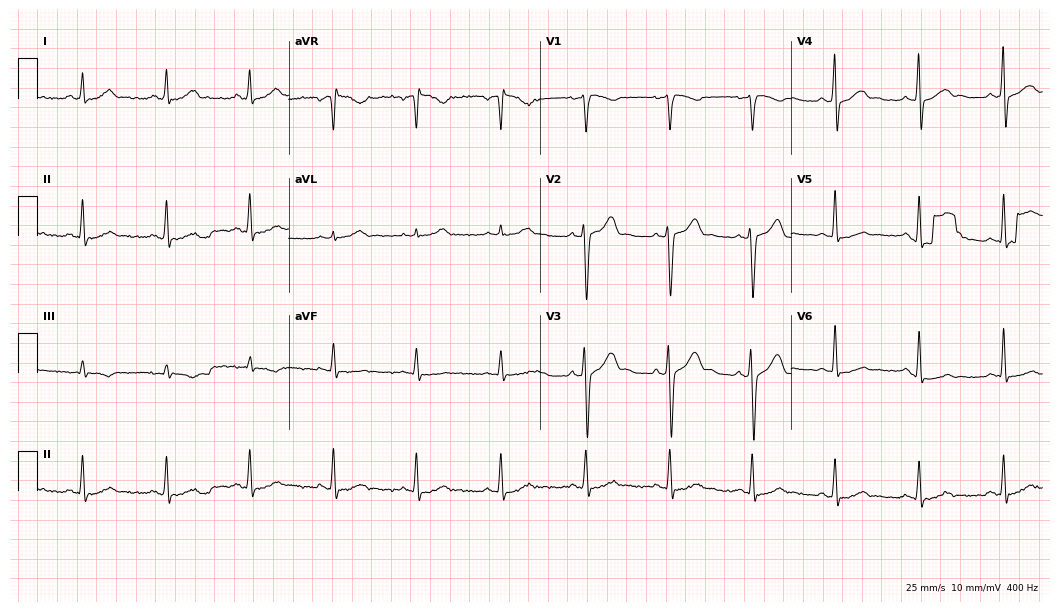
12-lead ECG (10.2-second recording at 400 Hz) from a 36-year-old man. Labelled as a normal ECG.